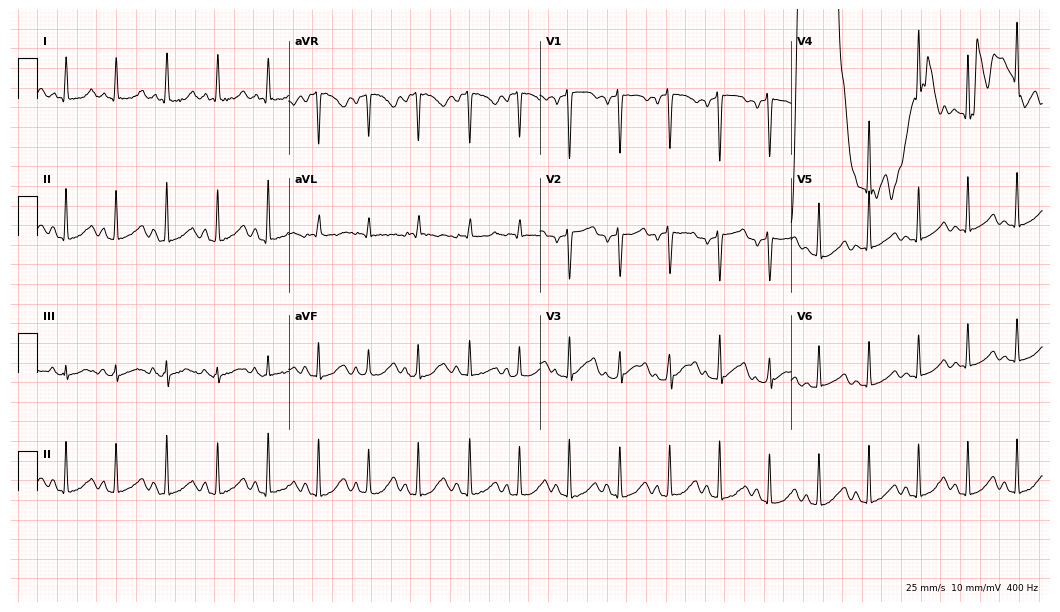
Electrocardiogram, a woman, 49 years old. Interpretation includes sinus tachycardia (a sinus rate of 100 beats per minute or more).